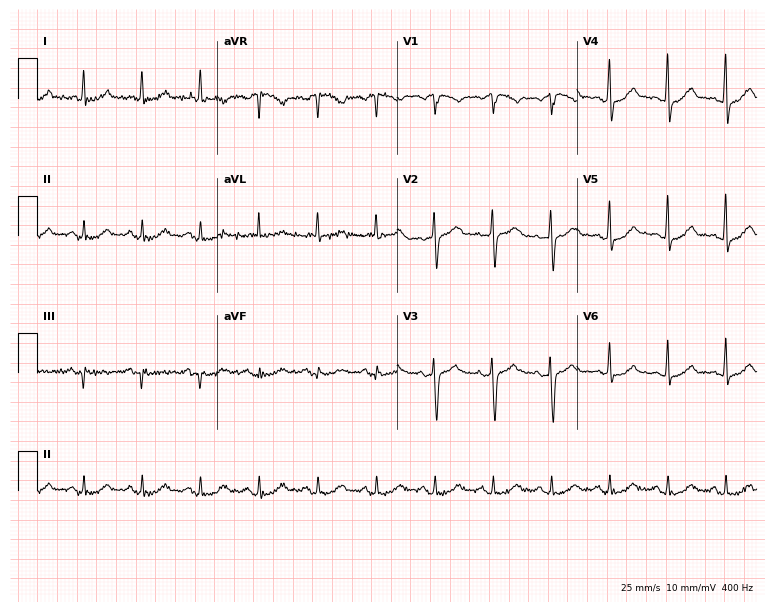
Standard 12-lead ECG recorded from a 61-year-old male patient. The tracing shows sinus tachycardia (a sinus rate of 100 beats per minute or more).